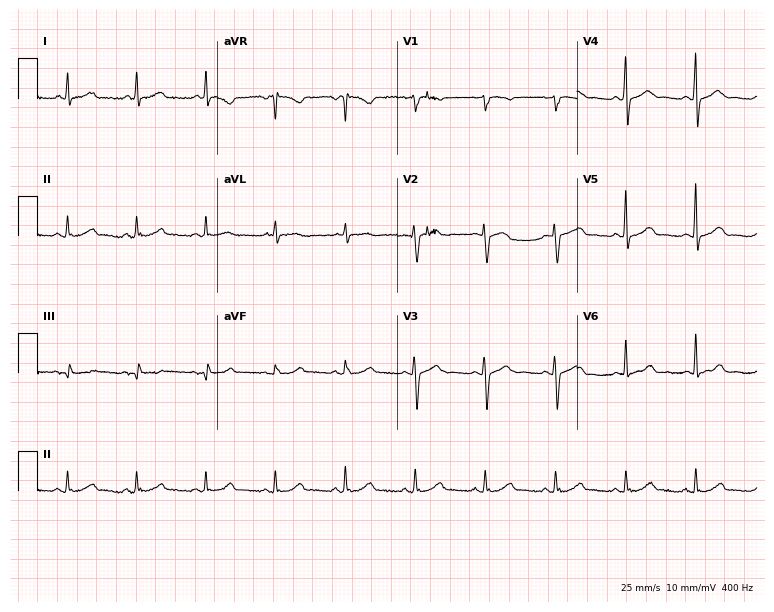
Electrocardiogram (7.3-second recording at 400 Hz), a female patient, 73 years old. Overall reading on record: normal ECG.